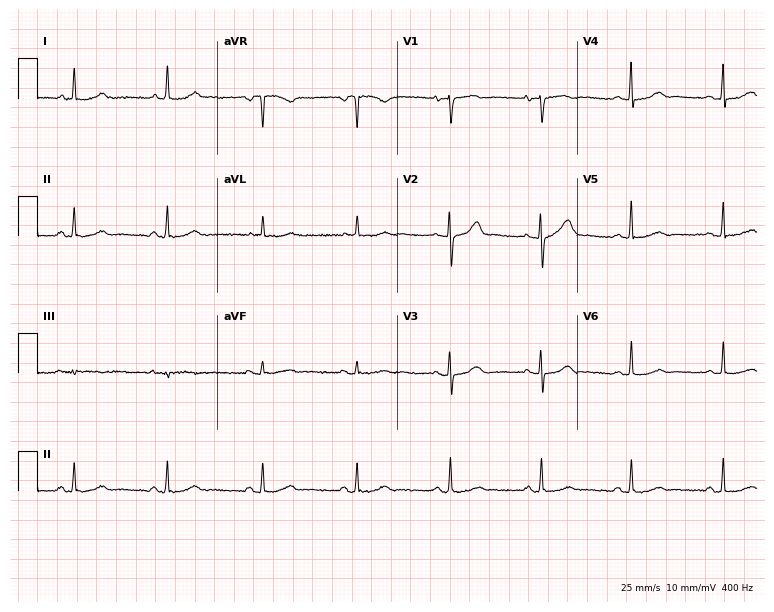
12-lead ECG from a female, 64 years old. No first-degree AV block, right bundle branch block, left bundle branch block, sinus bradycardia, atrial fibrillation or sinus tachycardia recorded for this tracing.